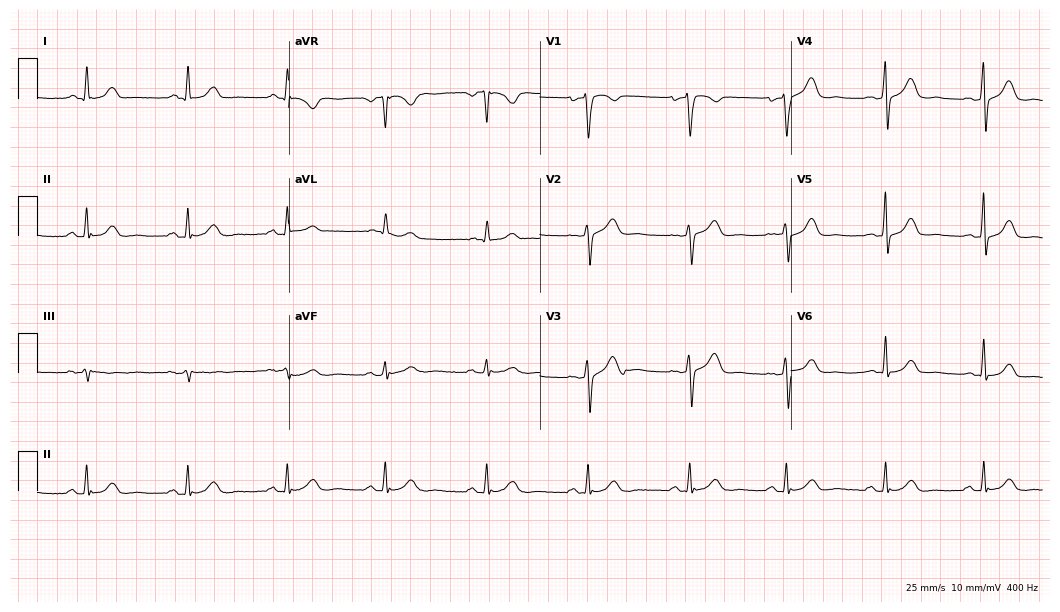
12-lead ECG from a 35-year-old female patient (10.2-second recording at 400 Hz). Recorded interpretation: within normal limits.